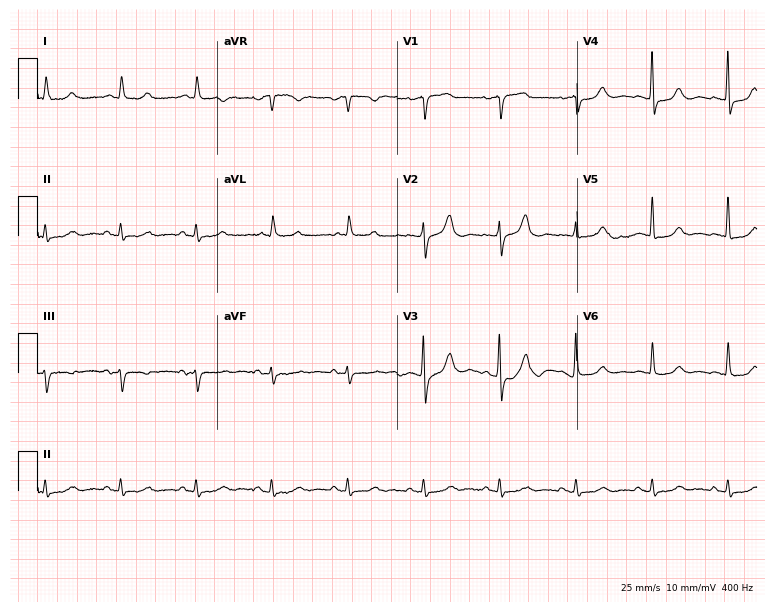
Resting 12-lead electrocardiogram (7.3-second recording at 400 Hz). Patient: a 77-year-old woman. Read as a normal ECG.